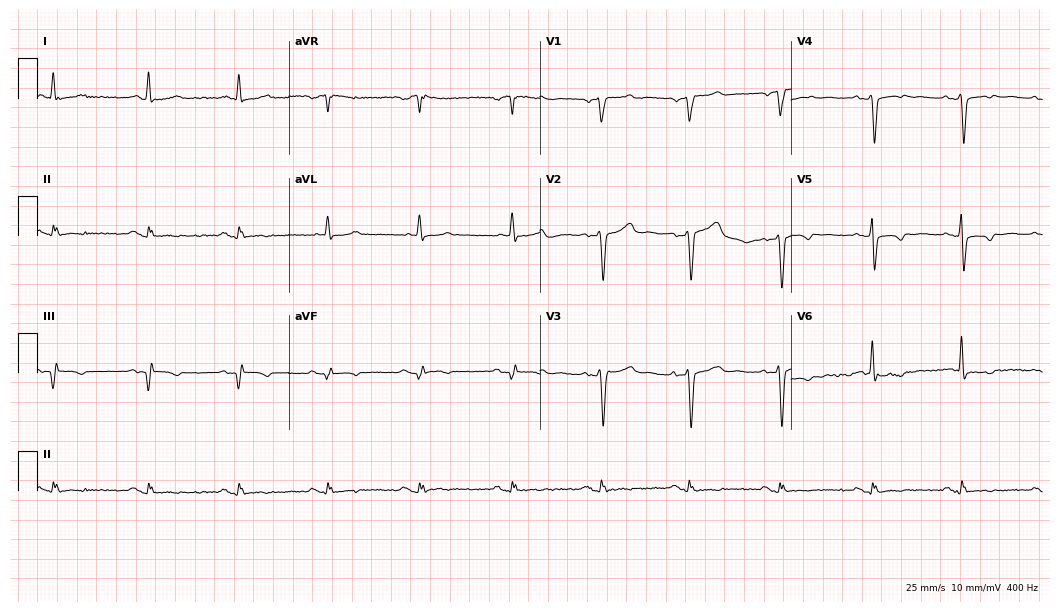
ECG — a male, 56 years old. Screened for six findings — first-degree AV block, right bundle branch block (RBBB), left bundle branch block (LBBB), sinus bradycardia, atrial fibrillation (AF), sinus tachycardia — none is recorded.